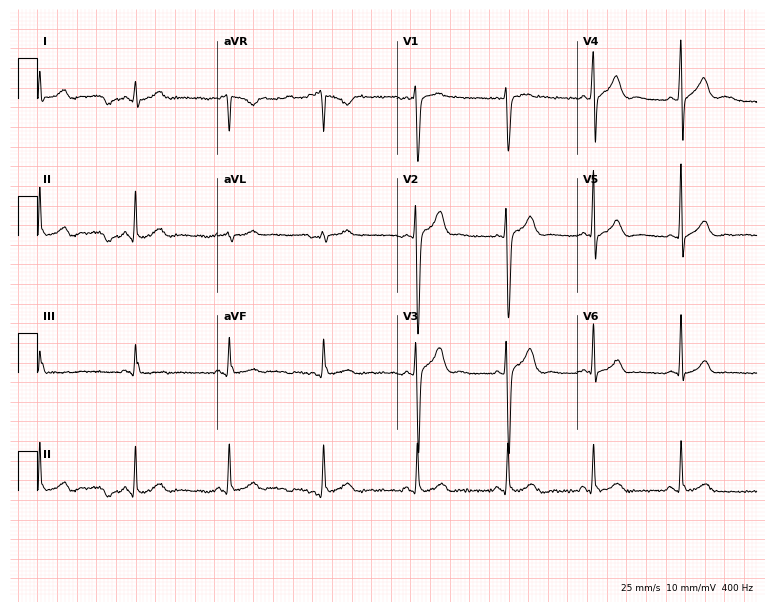
ECG — a male, 23 years old. Labelled as a normal ECG.